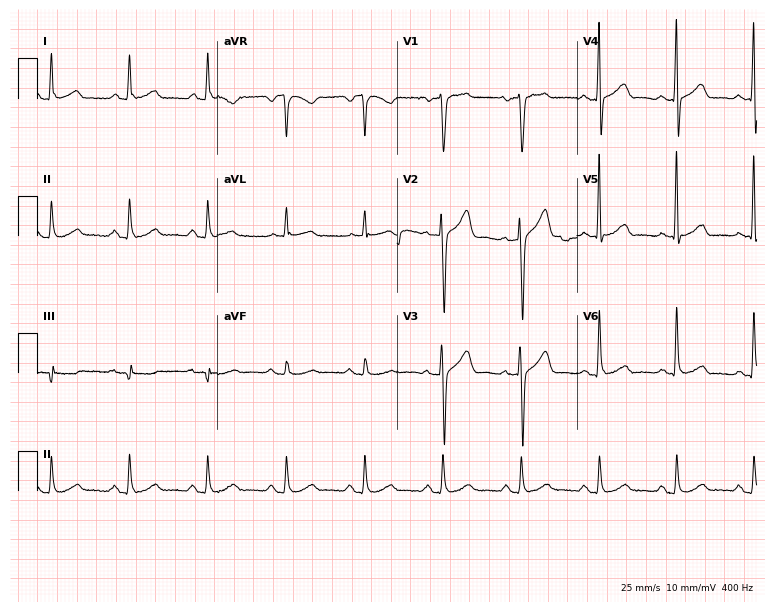
Resting 12-lead electrocardiogram (7.3-second recording at 400 Hz). Patient: a 65-year-old male. Read as a normal ECG.